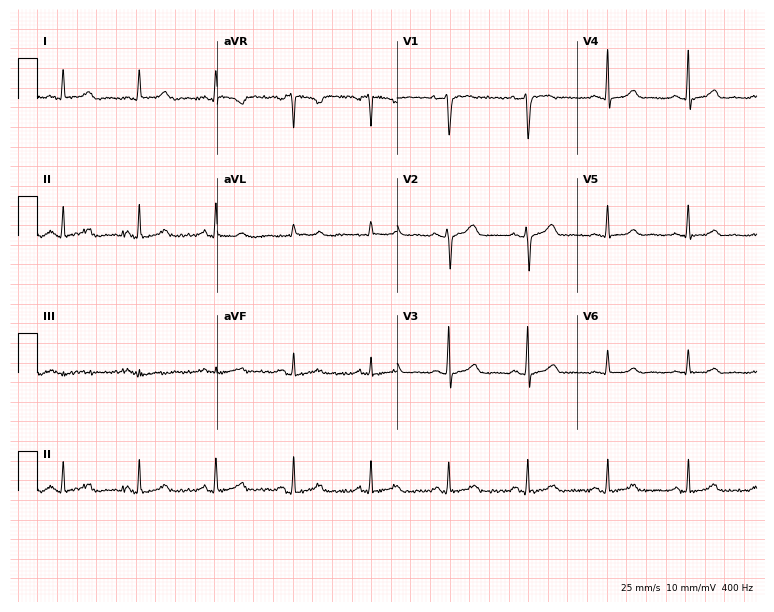
Standard 12-lead ECG recorded from a 32-year-old female (7.3-second recording at 400 Hz). None of these six findings is recorded: first-degree AV block, right bundle branch block (RBBB), left bundle branch block (LBBB), sinus bradycardia, atrial fibrillation (AF), sinus tachycardia.